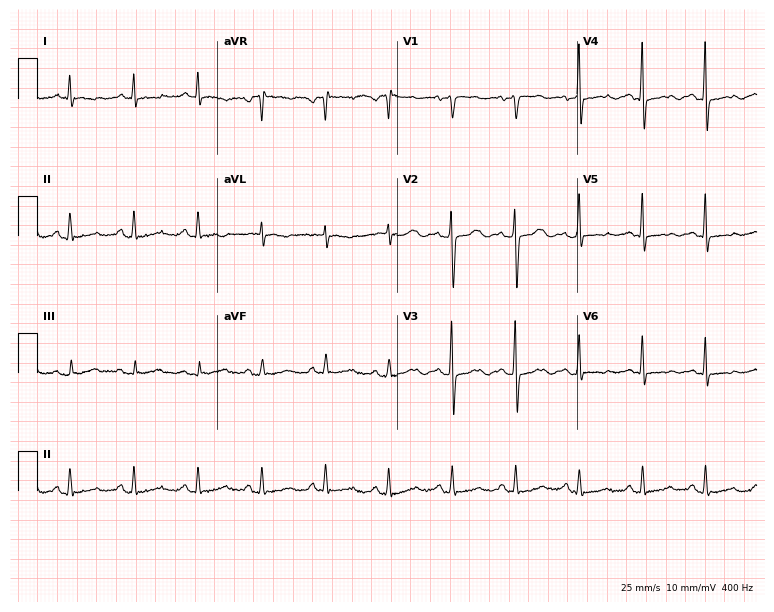
Resting 12-lead electrocardiogram (7.3-second recording at 400 Hz). Patient: a 43-year-old female. None of these six findings is recorded: first-degree AV block, right bundle branch block, left bundle branch block, sinus bradycardia, atrial fibrillation, sinus tachycardia. Other findings, if any, are not listed.